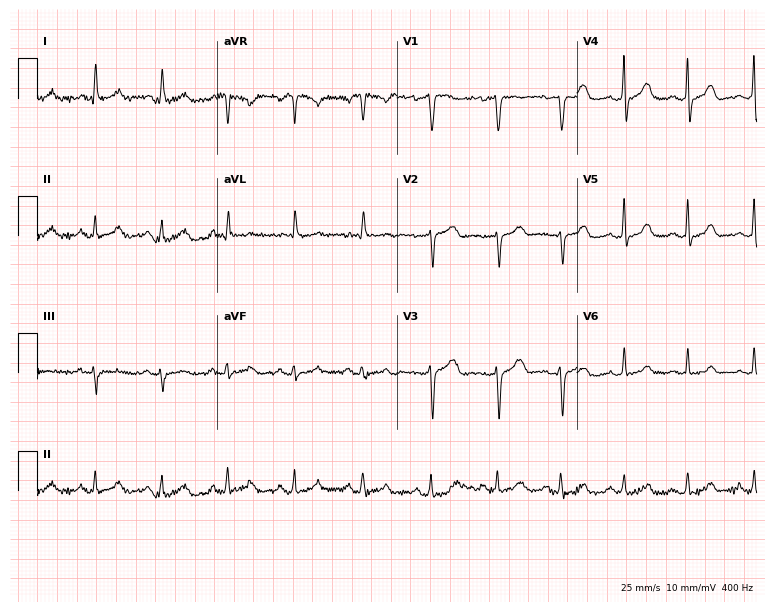
12-lead ECG (7.3-second recording at 400 Hz) from a woman, 33 years old. Screened for six findings — first-degree AV block, right bundle branch block (RBBB), left bundle branch block (LBBB), sinus bradycardia, atrial fibrillation (AF), sinus tachycardia — none is recorded.